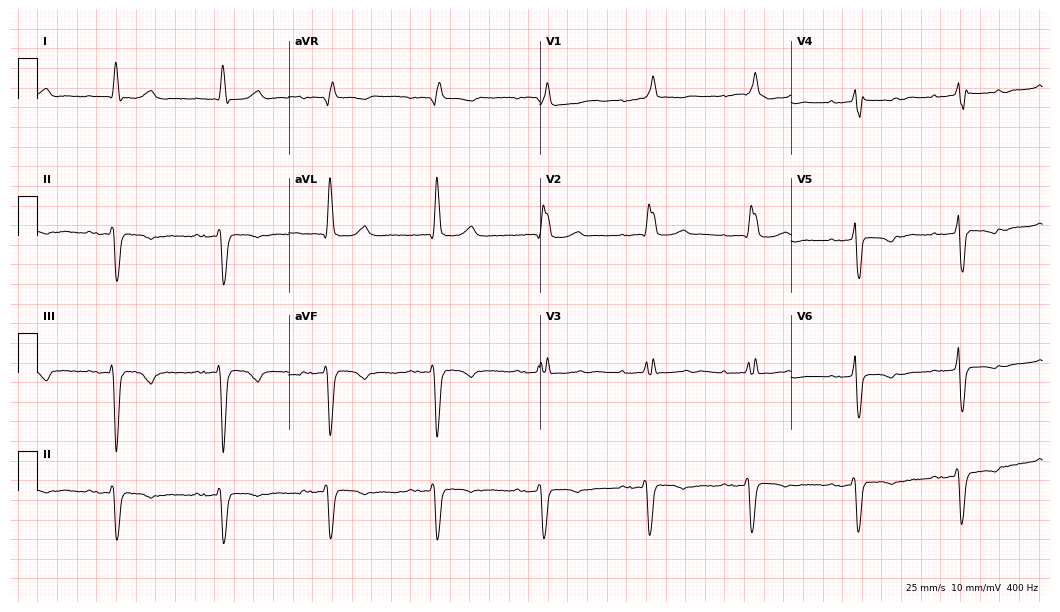
Resting 12-lead electrocardiogram. Patient: a 64-year-old female. The tracing shows first-degree AV block, right bundle branch block.